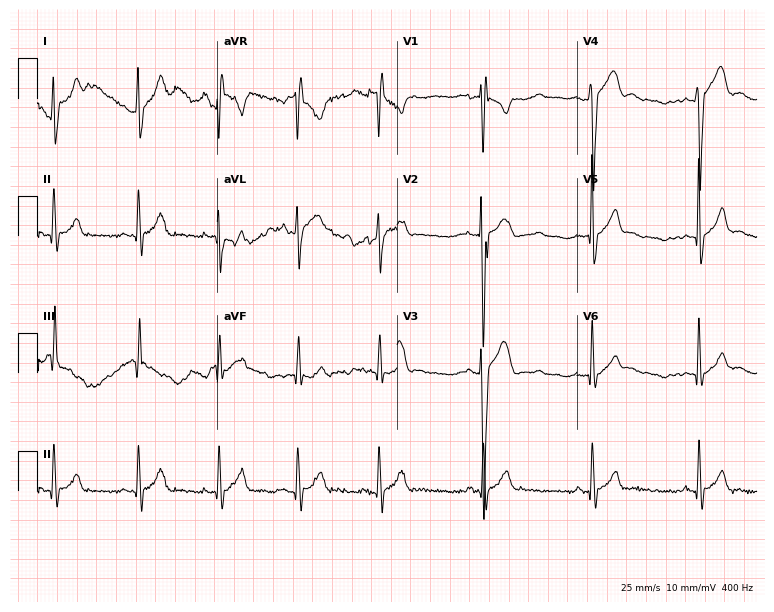
12-lead ECG from a male patient, 17 years old. Screened for six findings — first-degree AV block, right bundle branch block (RBBB), left bundle branch block (LBBB), sinus bradycardia, atrial fibrillation (AF), sinus tachycardia — none is recorded. Only these six findings were labelled.